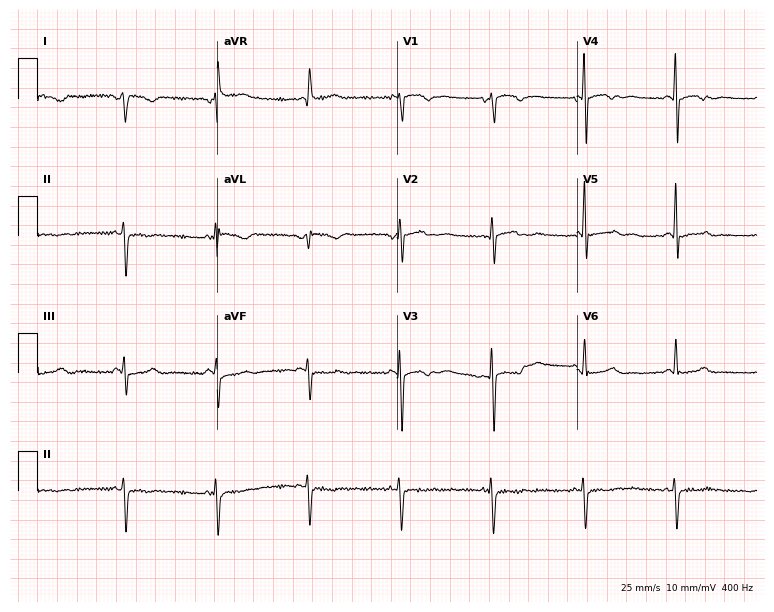
Resting 12-lead electrocardiogram (7.3-second recording at 400 Hz). Patient: a male, 74 years old. None of these six findings is recorded: first-degree AV block, right bundle branch block, left bundle branch block, sinus bradycardia, atrial fibrillation, sinus tachycardia. Findings outside these six are not listed.